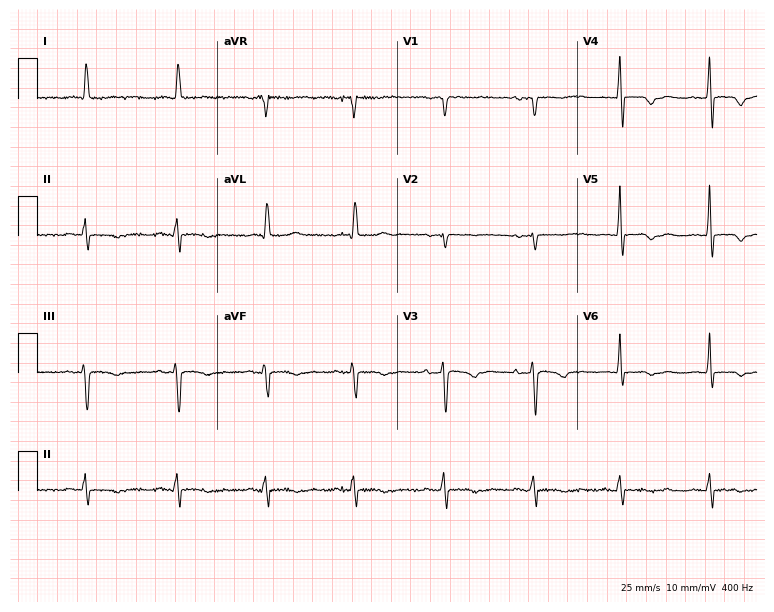
Standard 12-lead ECG recorded from a female, 48 years old. None of these six findings is recorded: first-degree AV block, right bundle branch block, left bundle branch block, sinus bradycardia, atrial fibrillation, sinus tachycardia. Only these six findings were labelled.